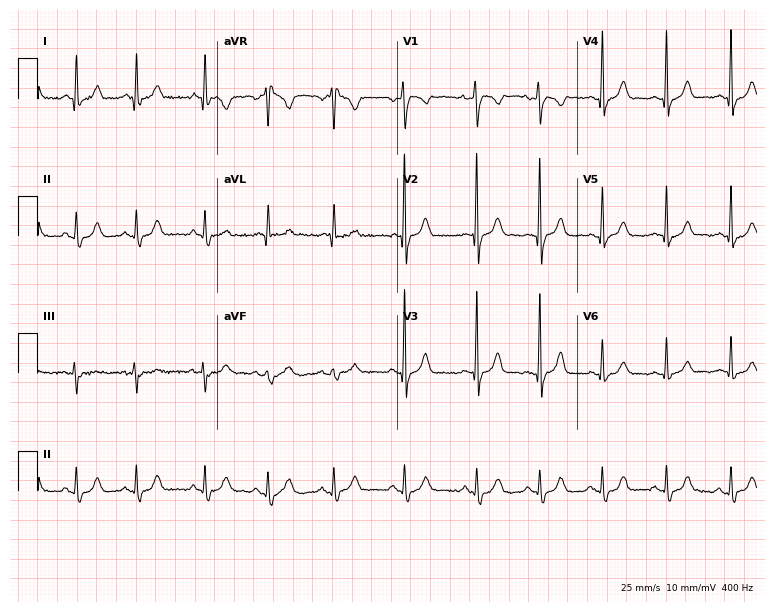
Resting 12-lead electrocardiogram (7.3-second recording at 400 Hz). Patient: a female, 17 years old. Read as a normal ECG.